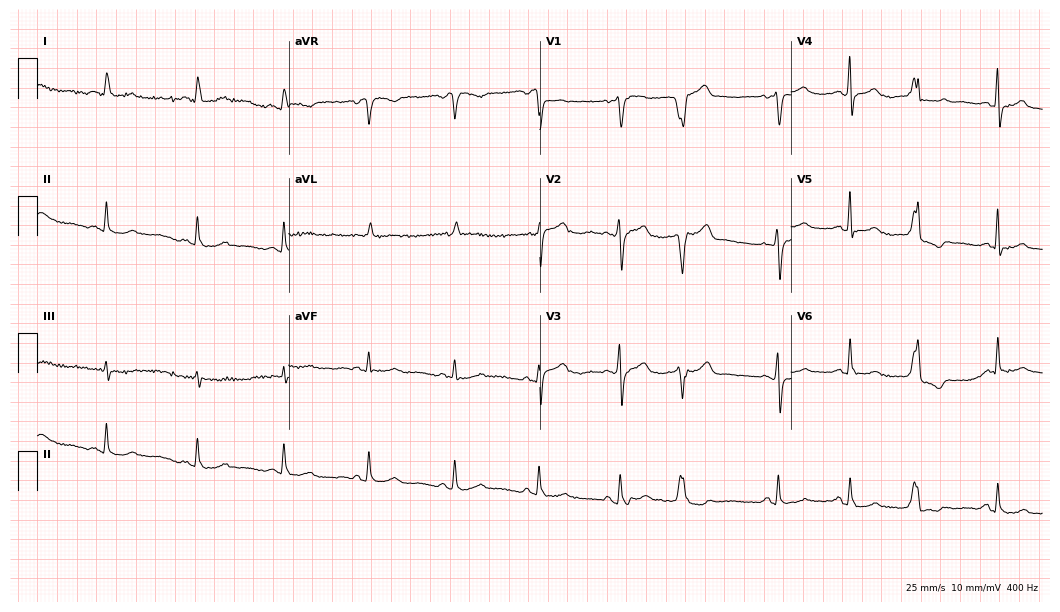
12-lead ECG from a female patient, 69 years old. Labelled as a normal ECG.